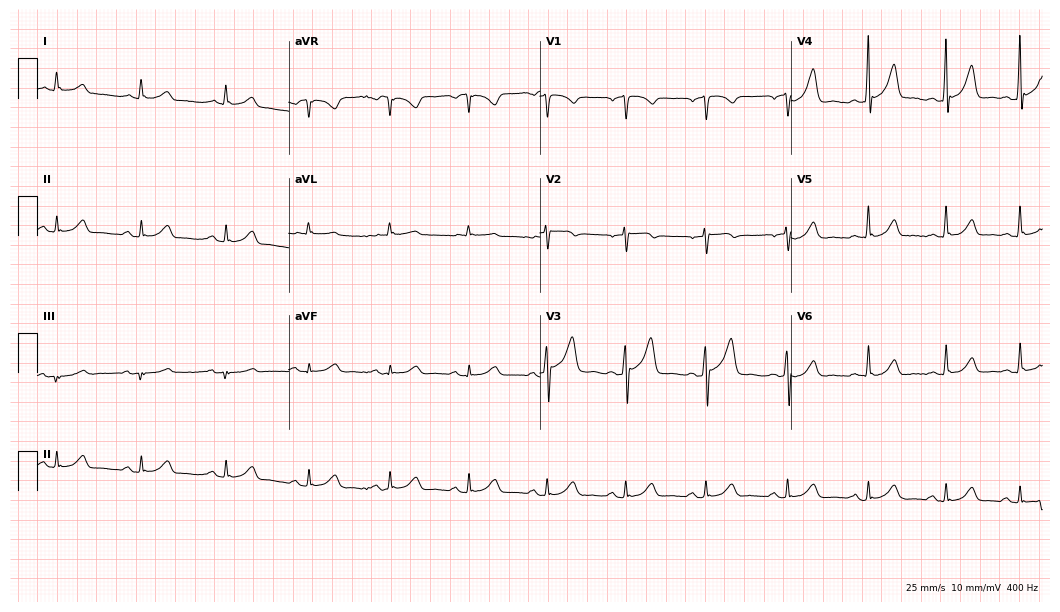
Electrocardiogram, a 57-year-old male patient. Overall reading on record: normal ECG.